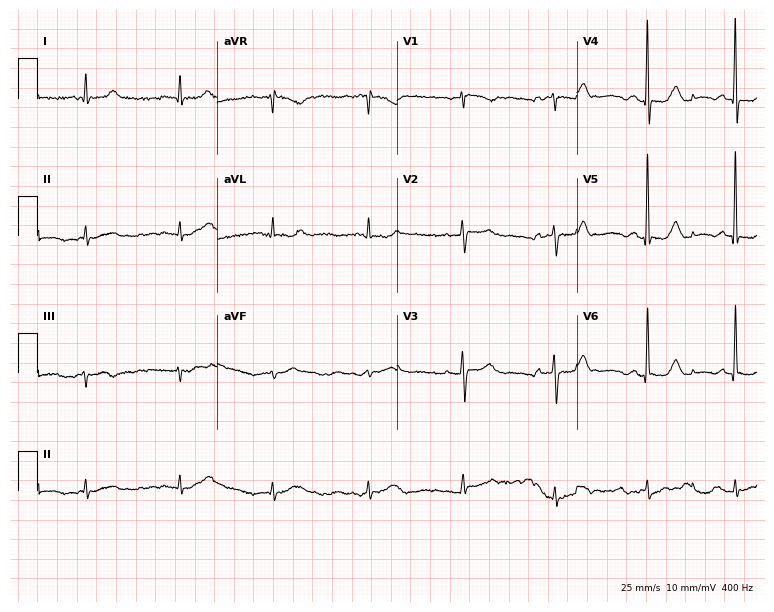
Resting 12-lead electrocardiogram. Patient: a 72-year-old woman. None of these six findings is recorded: first-degree AV block, right bundle branch block, left bundle branch block, sinus bradycardia, atrial fibrillation, sinus tachycardia.